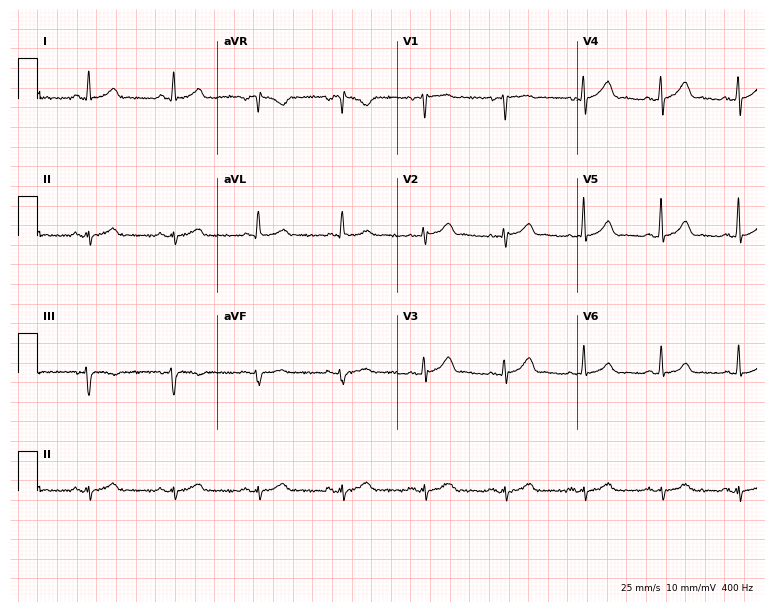
ECG (7.3-second recording at 400 Hz) — a male patient, 75 years old. Screened for six findings — first-degree AV block, right bundle branch block, left bundle branch block, sinus bradycardia, atrial fibrillation, sinus tachycardia — none is recorded.